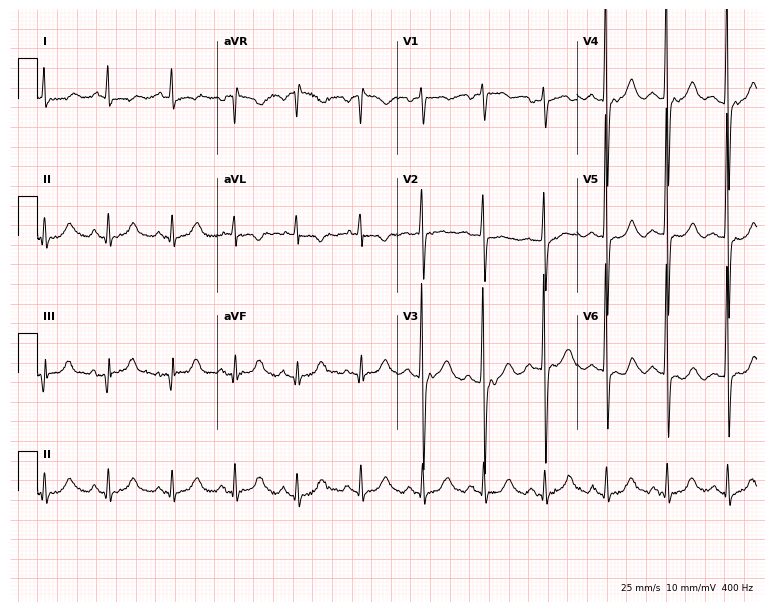
Standard 12-lead ECG recorded from a 62-year-old female. None of these six findings is recorded: first-degree AV block, right bundle branch block, left bundle branch block, sinus bradycardia, atrial fibrillation, sinus tachycardia. Other findings, if any, are not listed.